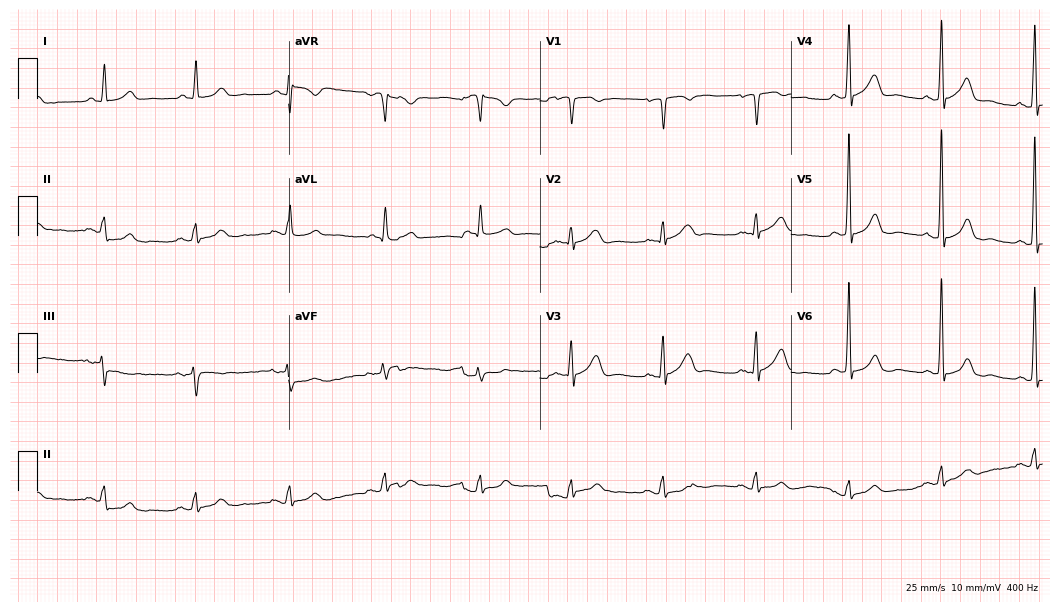
12-lead ECG from a man, 65 years old. No first-degree AV block, right bundle branch block, left bundle branch block, sinus bradycardia, atrial fibrillation or sinus tachycardia recorded for this tracing. Findings outside these six are not listed.